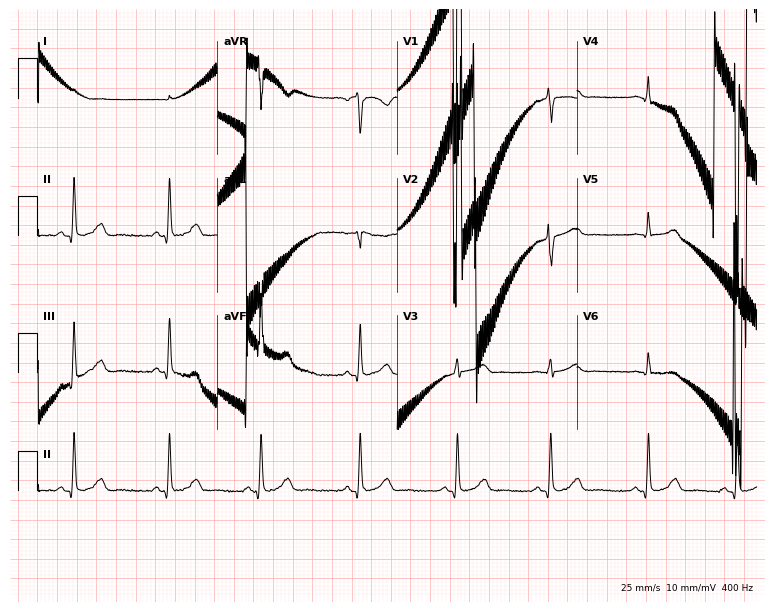
Electrocardiogram (7.3-second recording at 400 Hz), a woman, 27 years old. Of the six screened findings (first-degree AV block, right bundle branch block, left bundle branch block, sinus bradycardia, atrial fibrillation, sinus tachycardia), none is recorded.